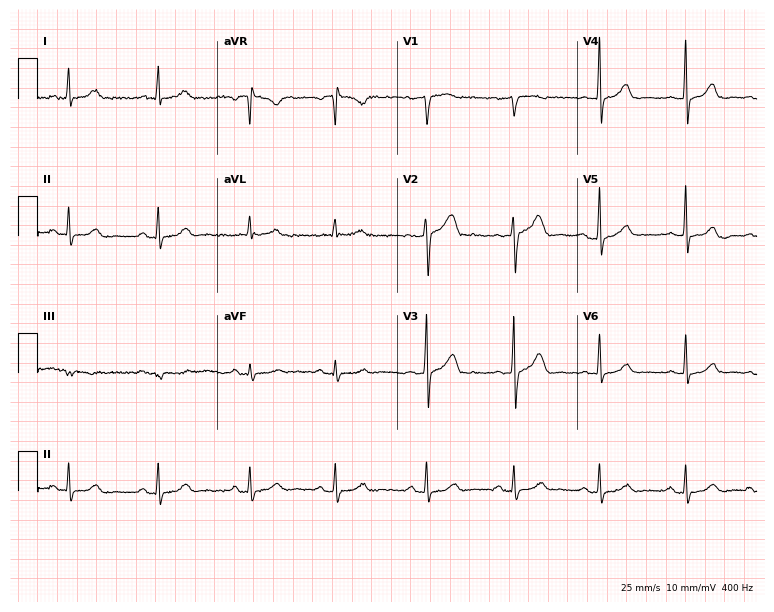
Resting 12-lead electrocardiogram (7.3-second recording at 400 Hz). Patient: a 34-year-old female. Read as a normal ECG.